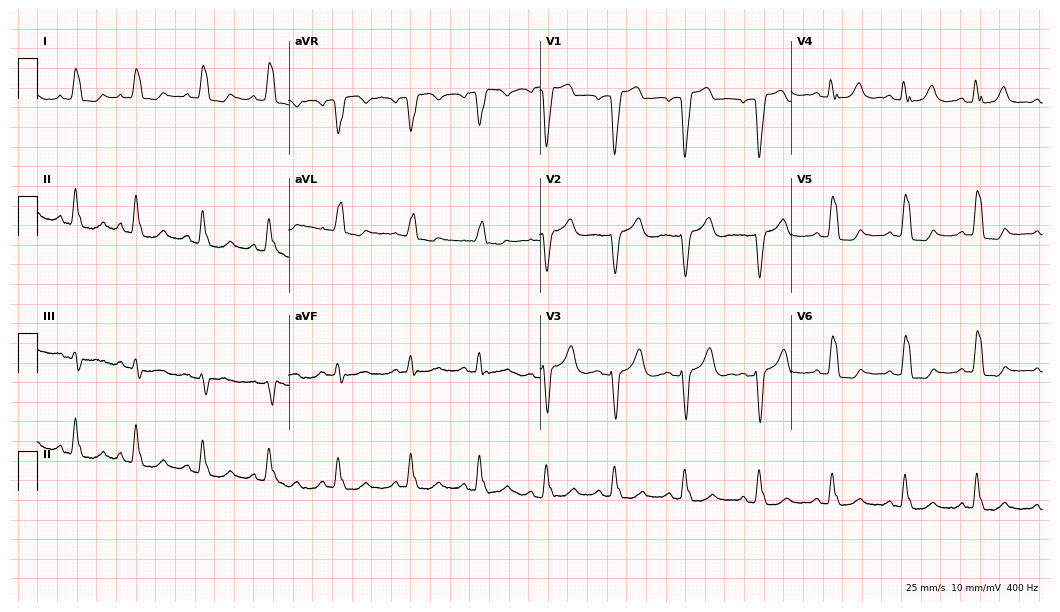
Resting 12-lead electrocardiogram (10.2-second recording at 400 Hz). Patient: a 65-year-old female. None of these six findings is recorded: first-degree AV block, right bundle branch block, left bundle branch block, sinus bradycardia, atrial fibrillation, sinus tachycardia.